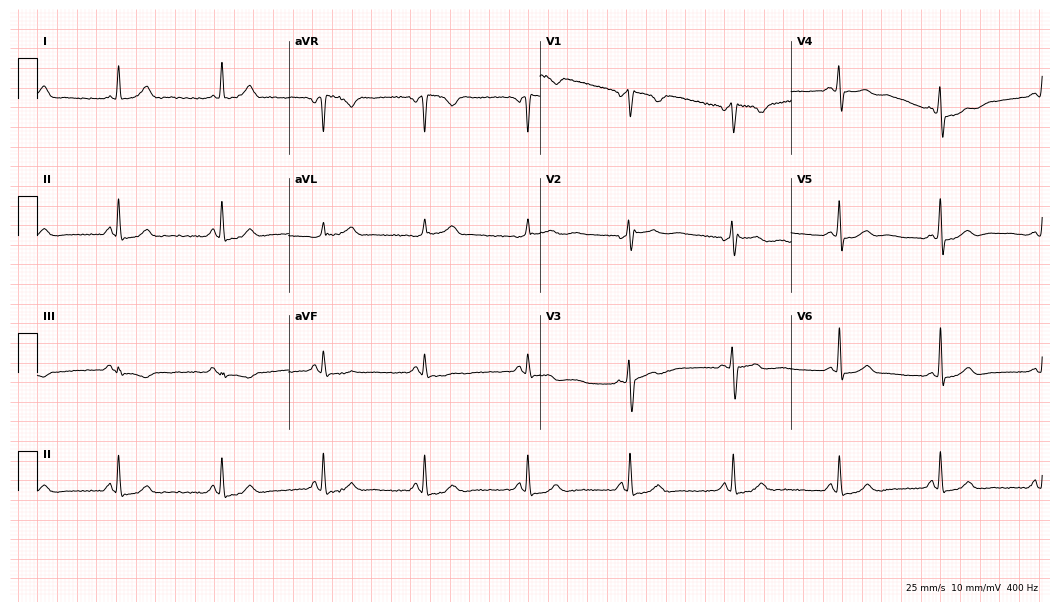
12-lead ECG from a 50-year-old female (10.2-second recording at 400 Hz). No first-degree AV block, right bundle branch block (RBBB), left bundle branch block (LBBB), sinus bradycardia, atrial fibrillation (AF) or sinus tachycardia recorded for this tracing. Other findings, if any, are not listed.